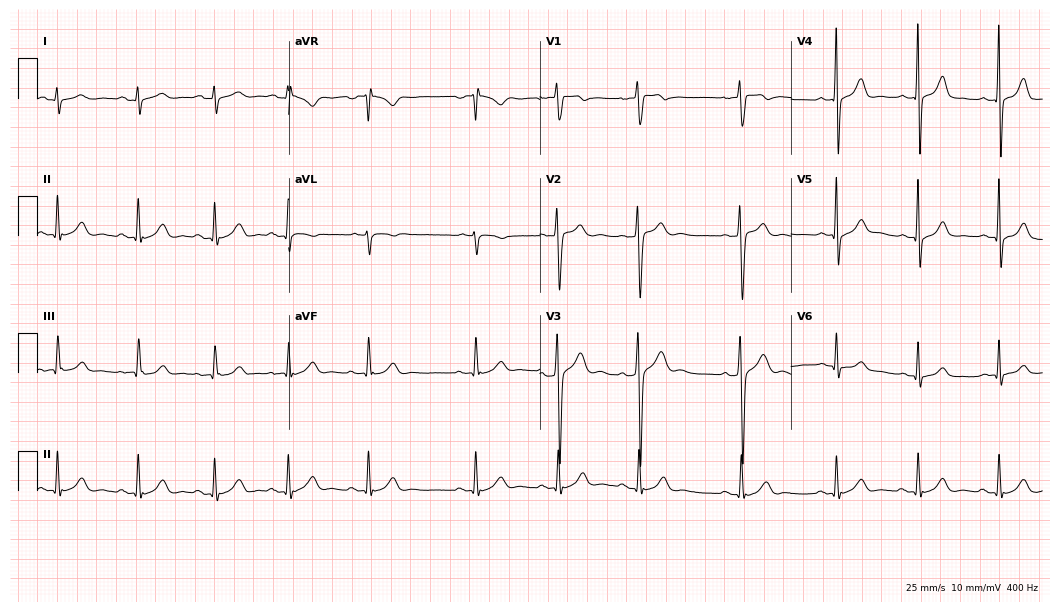
Resting 12-lead electrocardiogram. Patient: a man, 20 years old. Read as a normal ECG.